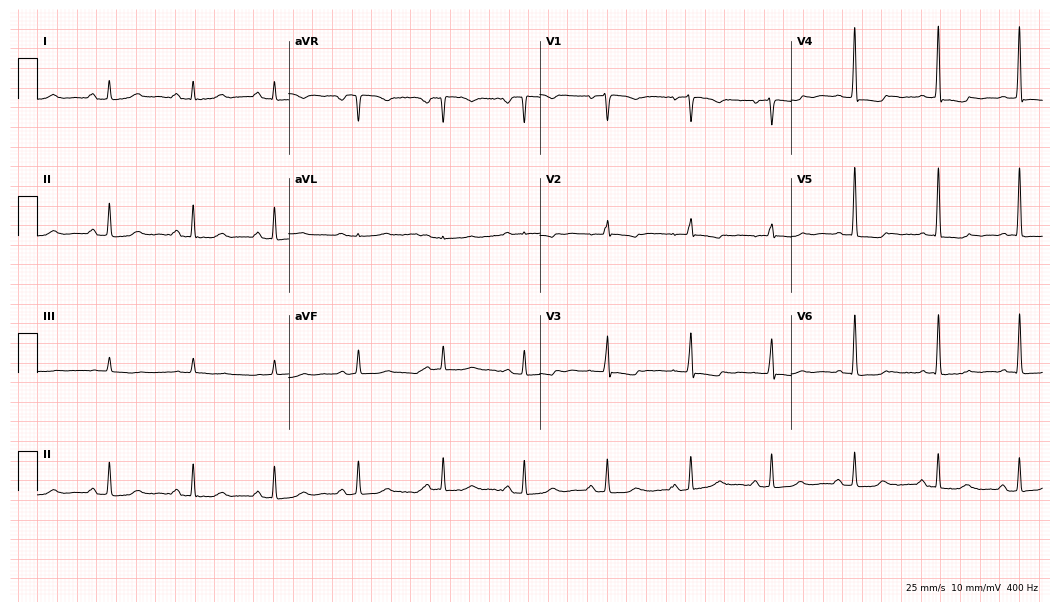
Standard 12-lead ECG recorded from a 67-year-old female (10.2-second recording at 400 Hz). None of these six findings is recorded: first-degree AV block, right bundle branch block, left bundle branch block, sinus bradycardia, atrial fibrillation, sinus tachycardia.